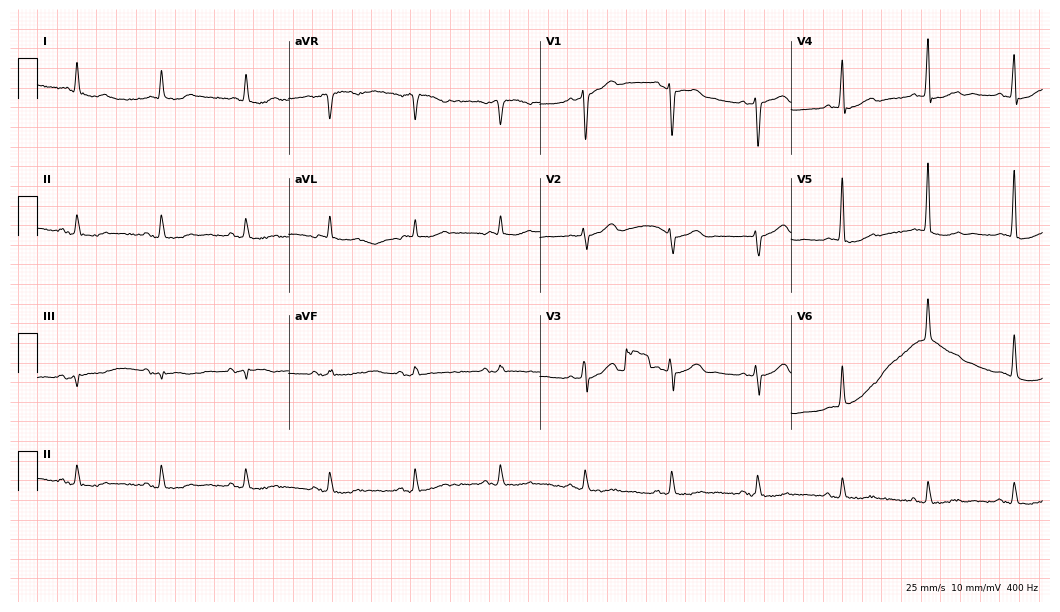
ECG — an 85-year-old male patient. Screened for six findings — first-degree AV block, right bundle branch block (RBBB), left bundle branch block (LBBB), sinus bradycardia, atrial fibrillation (AF), sinus tachycardia — none is recorded. Findings outside these six are not listed.